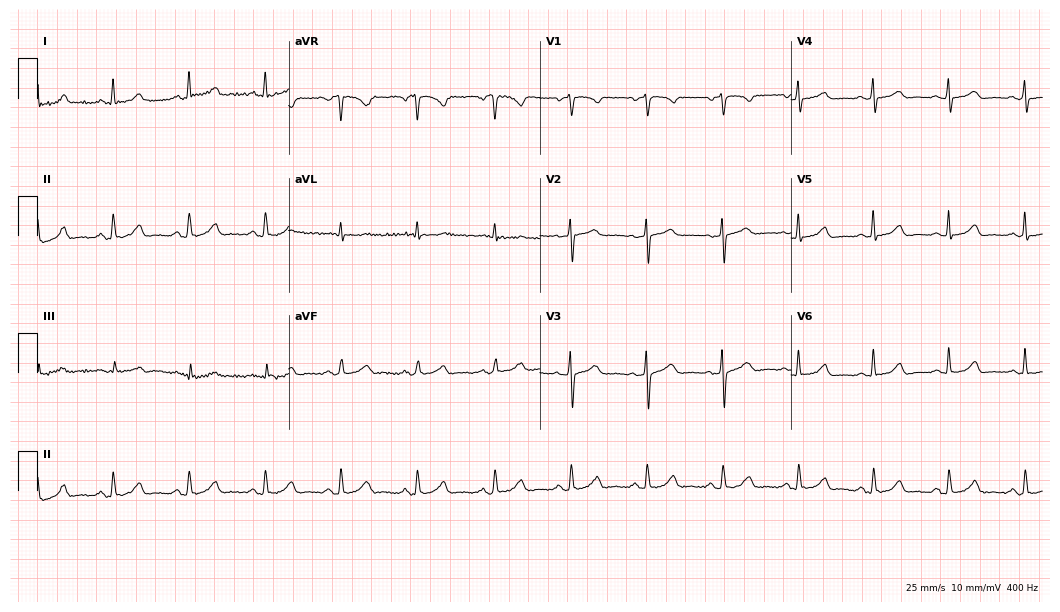
Electrocardiogram, a female, 59 years old. Overall reading on record: normal ECG.